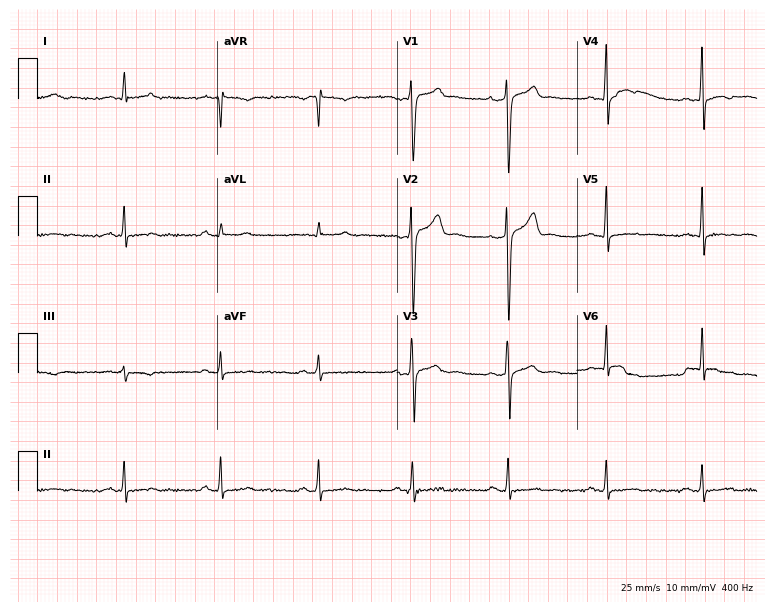
Electrocardiogram, a 33-year-old man. Of the six screened findings (first-degree AV block, right bundle branch block, left bundle branch block, sinus bradycardia, atrial fibrillation, sinus tachycardia), none is recorded.